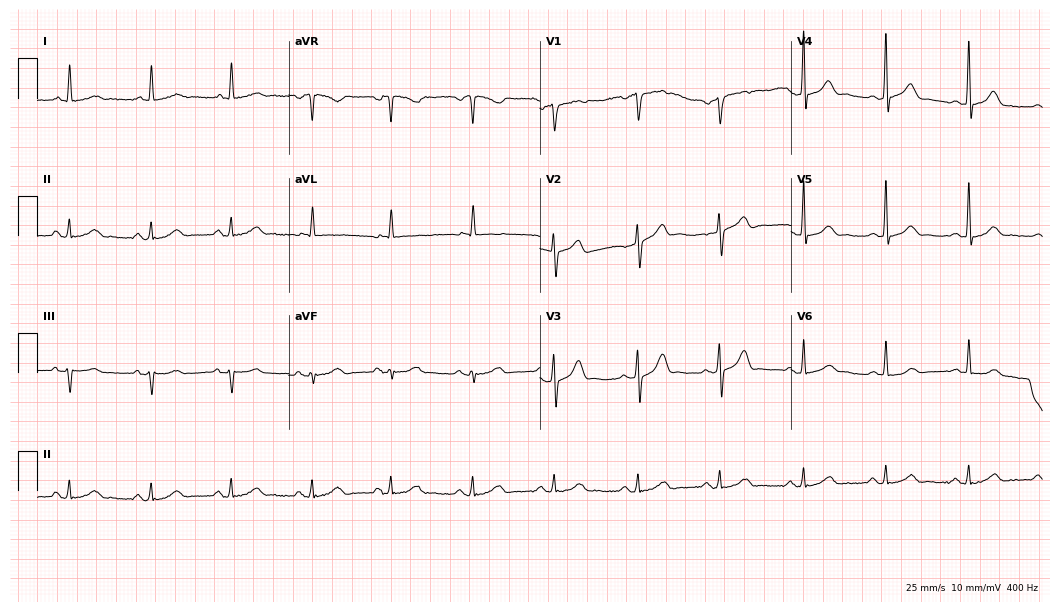
Resting 12-lead electrocardiogram. Patient: a female, 68 years old. Read as a normal ECG.